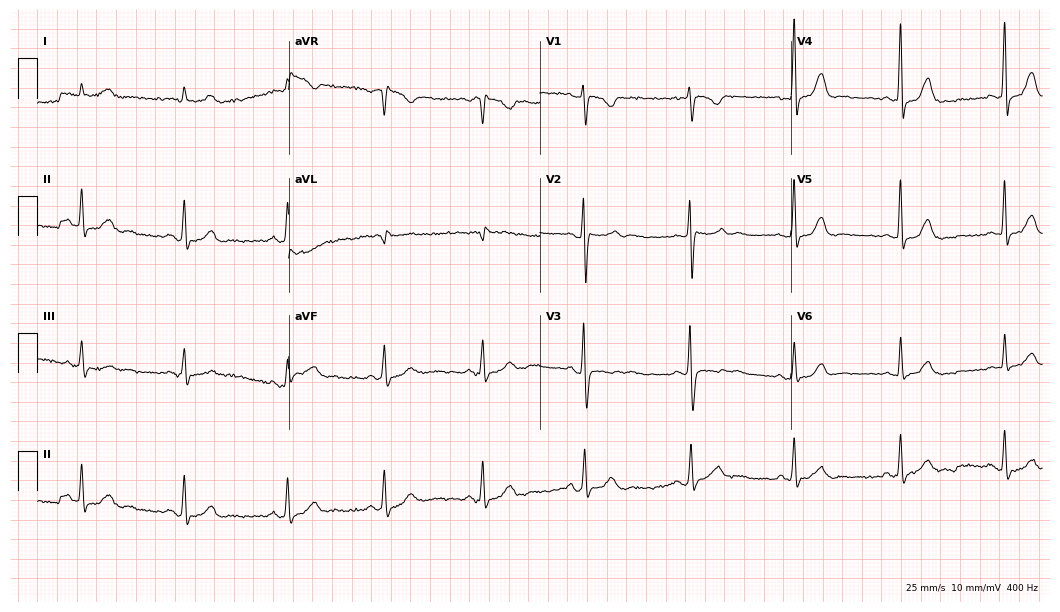
12-lead ECG from a 41-year-old woman (10.2-second recording at 400 Hz). No first-degree AV block, right bundle branch block, left bundle branch block, sinus bradycardia, atrial fibrillation or sinus tachycardia recorded for this tracing.